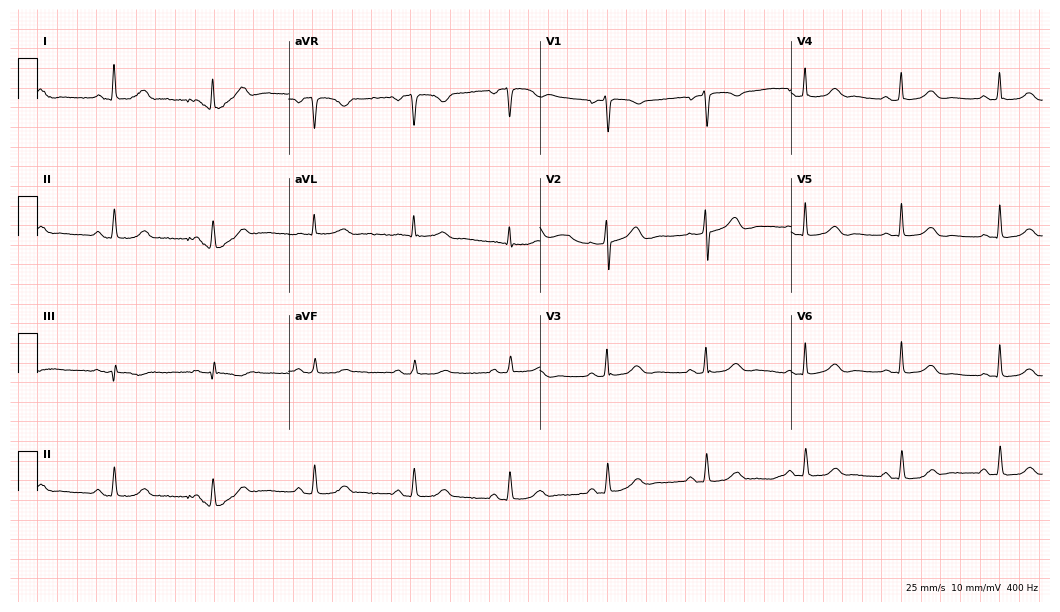
Standard 12-lead ECG recorded from a 65-year-old woman. Read as a normal ECG.